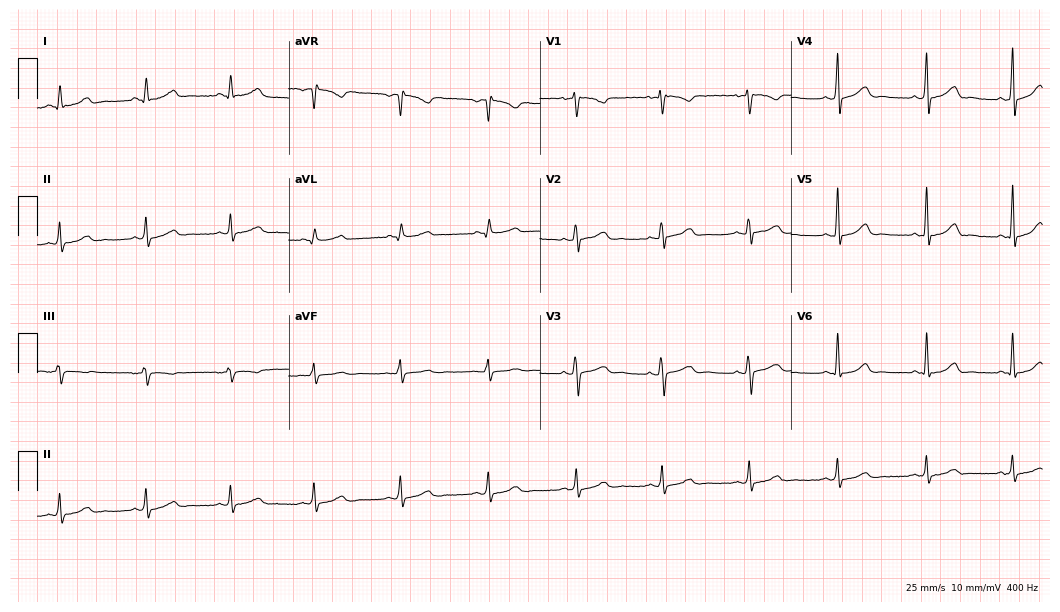
Resting 12-lead electrocardiogram (10.2-second recording at 400 Hz). Patient: a female, 37 years old. Read as a normal ECG.